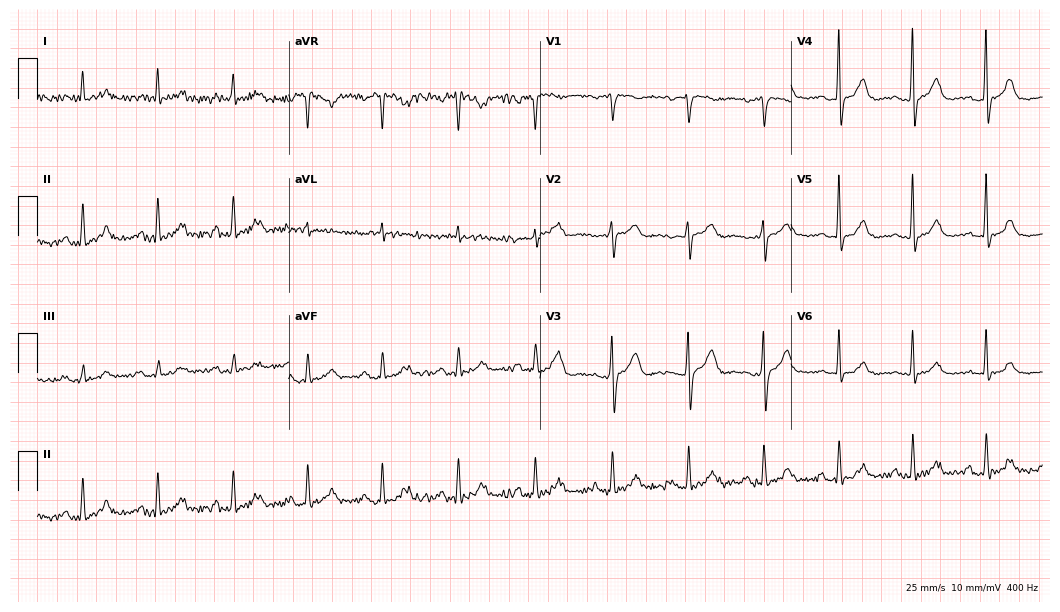
Resting 12-lead electrocardiogram. Patient: a 65-year-old female. Read as a normal ECG.